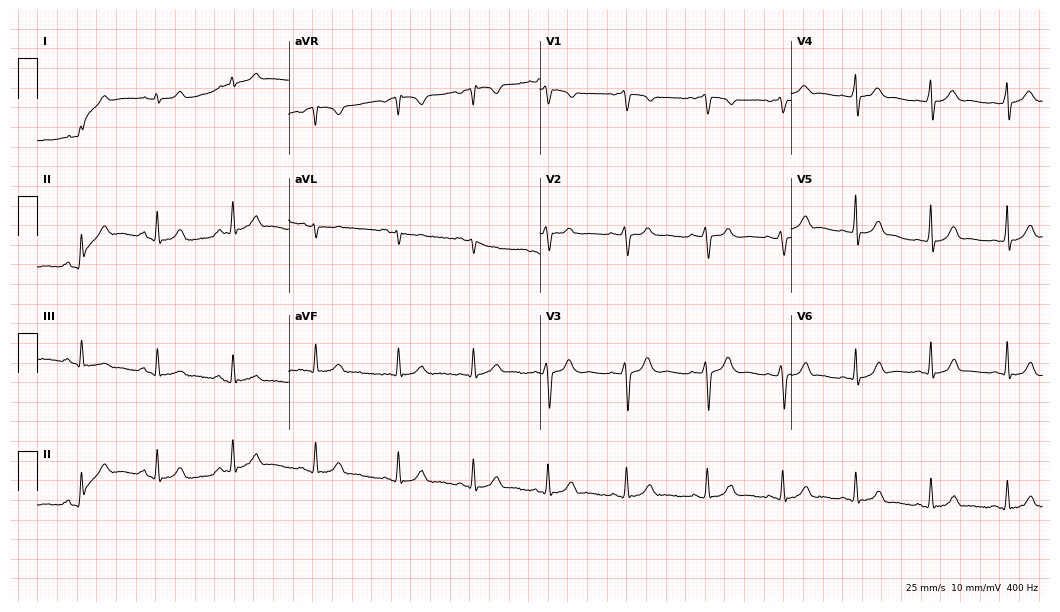
Standard 12-lead ECG recorded from a 20-year-old female (10.2-second recording at 400 Hz). Read as a normal ECG.